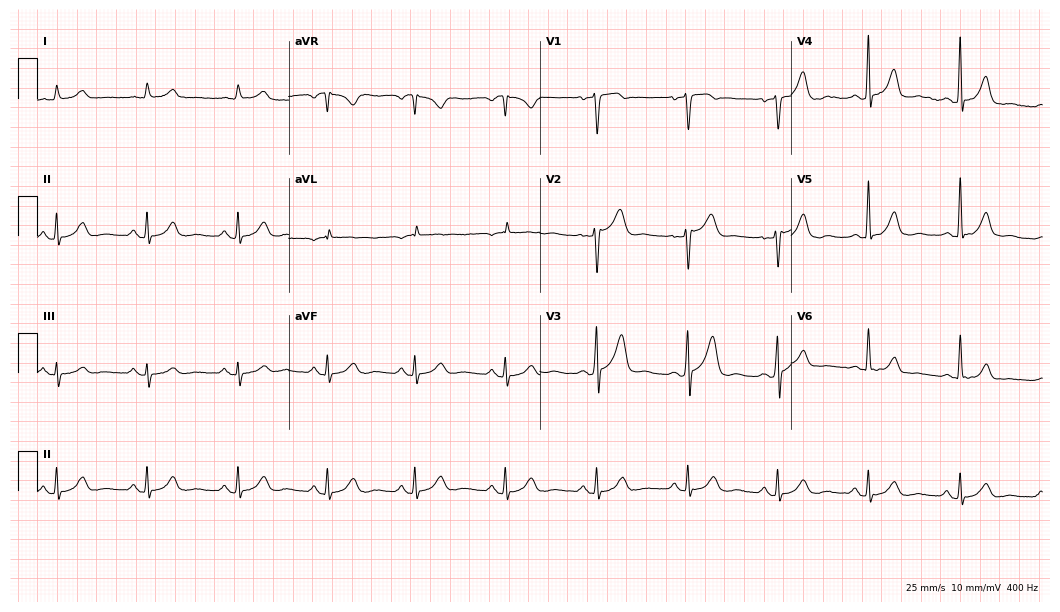
Electrocardiogram, a 52-year-old male. Overall reading on record: normal ECG.